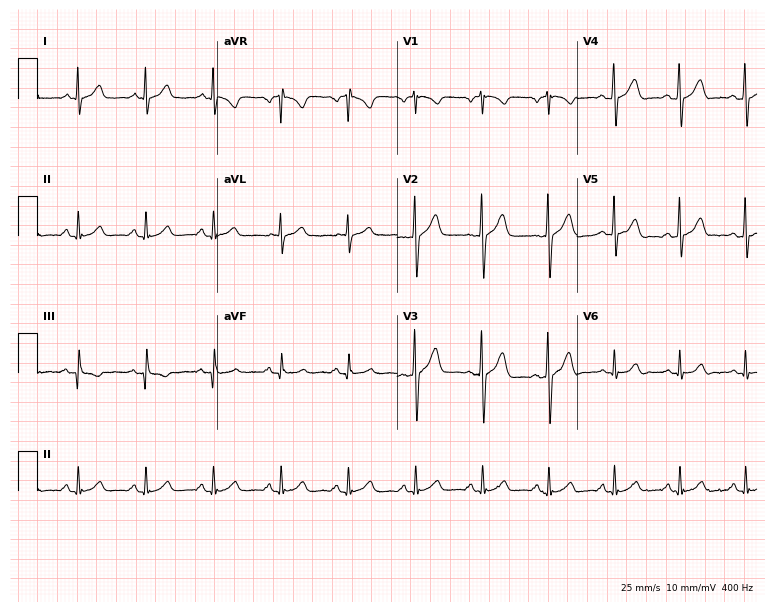
ECG (7.3-second recording at 400 Hz) — a male patient, 31 years old. Screened for six findings — first-degree AV block, right bundle branch block, left bundle branch block, sinus bradycardia, atrial fibrillation, sinus tachycardia — none is recorded.